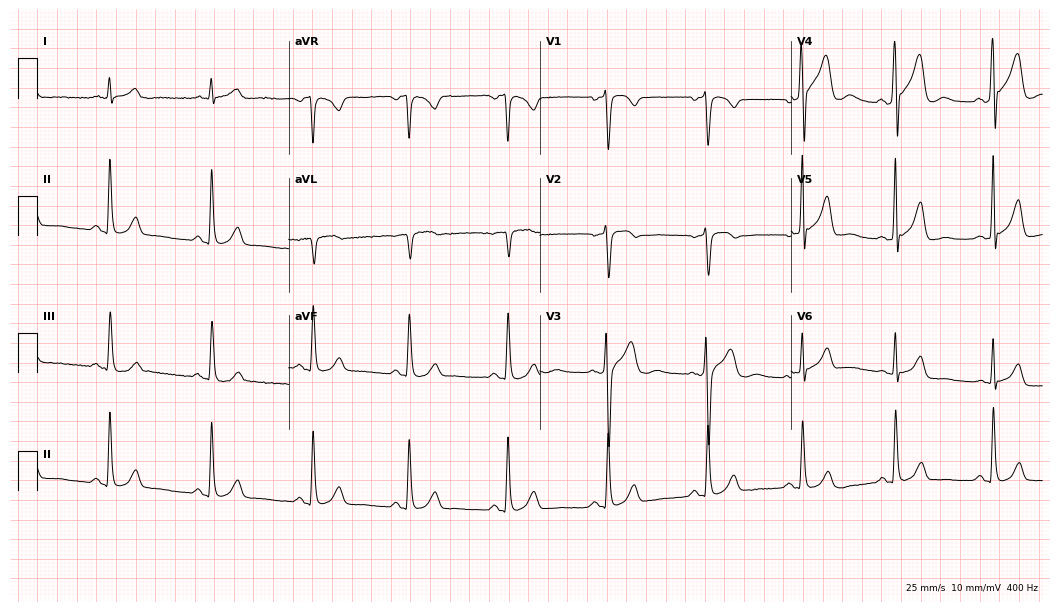
Electrocardiogram, a 42-year-old male. Overall reading on record: normal ECG.